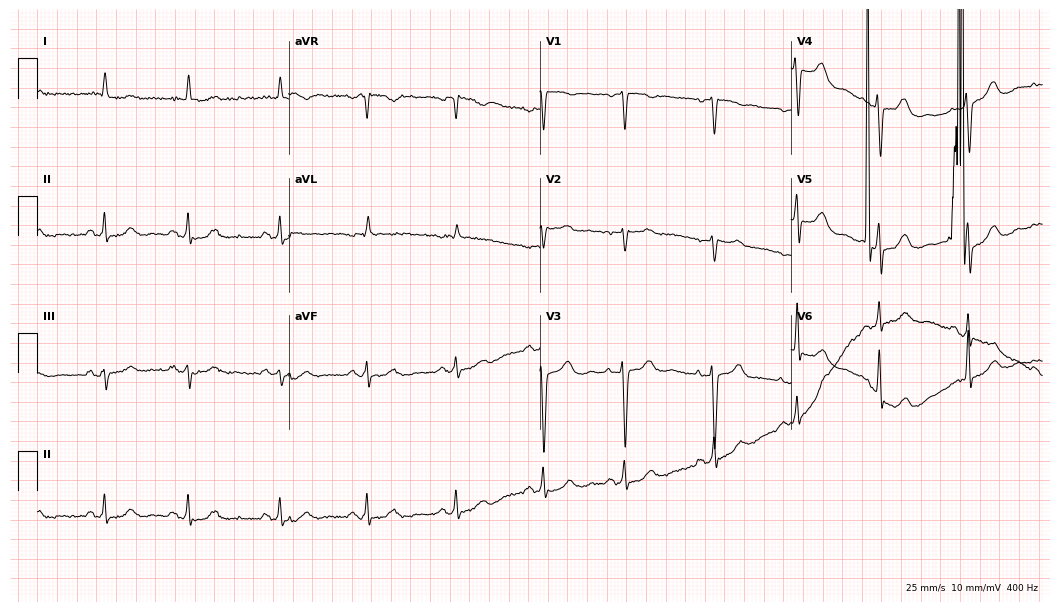
12-lead ECG from a man, 67 years old (10.2-second recording at 400 Hz). No first-degree AV block, right bundle branch block, left bundle branch block, sinus bradycardia, atrial fibrillation or sinus tachycardia recorded for this tracing. Findings outside these six are not listed.